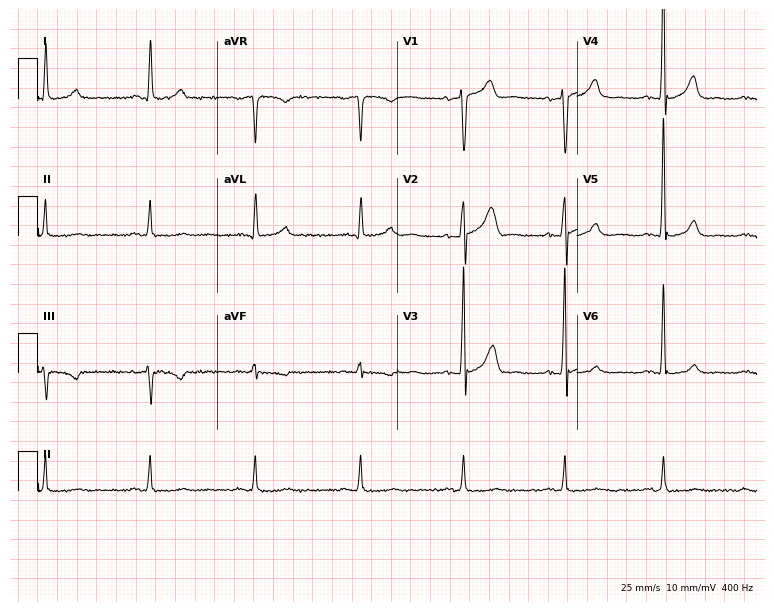
ECG — a 67-year-old man. Labelled as a normal ECG.